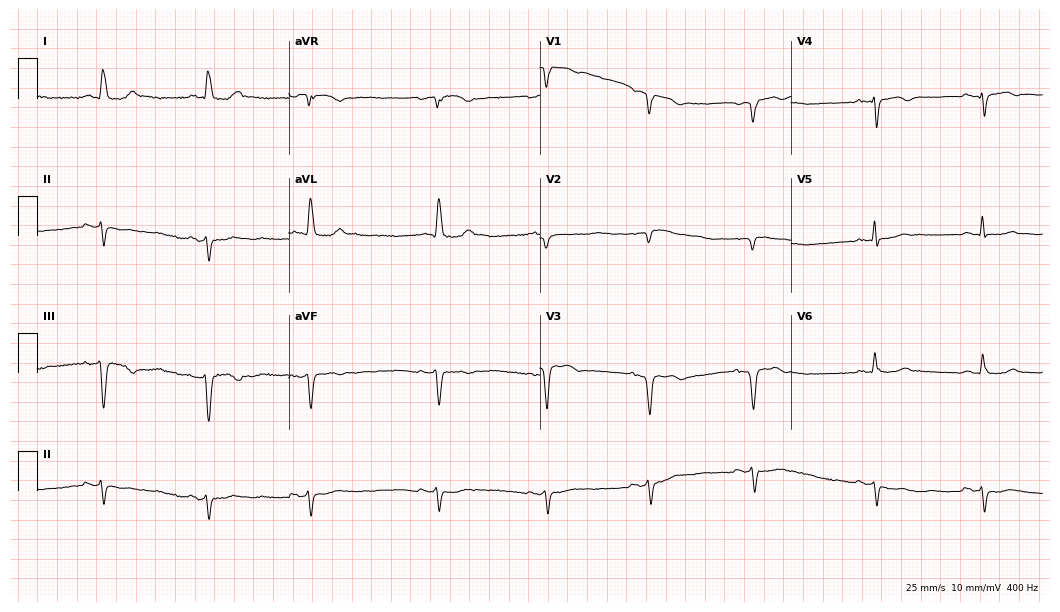
12-lead ECG from a female patient, 73 years old. No first-degree AV block, right bundle branch block, left bundle branch block, sinus bradycardia, atrial fibrillation or sinus tachycardia recorded for this tracing. Other findings, if any, are not listed.